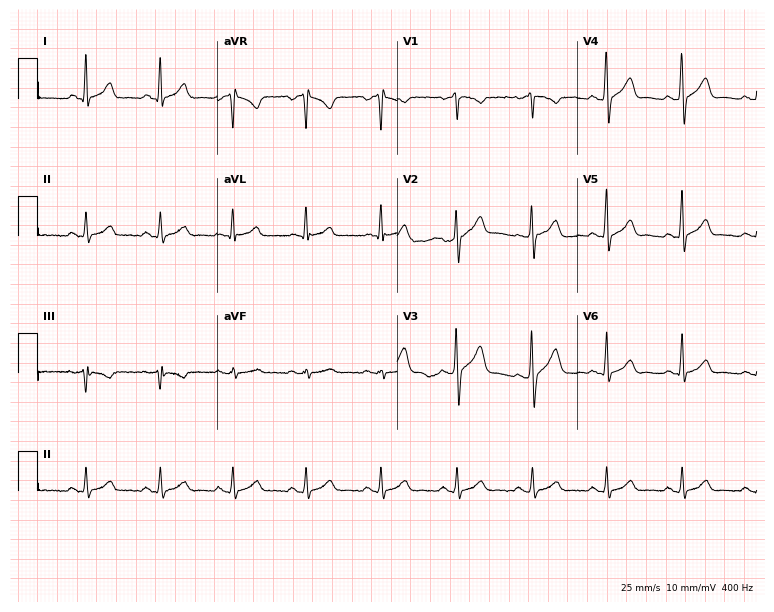
ECG (7.3-second recording at 400 Hz) — a 31-year-old male. Screened for six findings — first-degree AV block, right bundle branch block, left bundle branch block, sinus bradycardia, atrial fibrillation, sinus tachycardia — none is recorded. Findings outside these six are not listed.